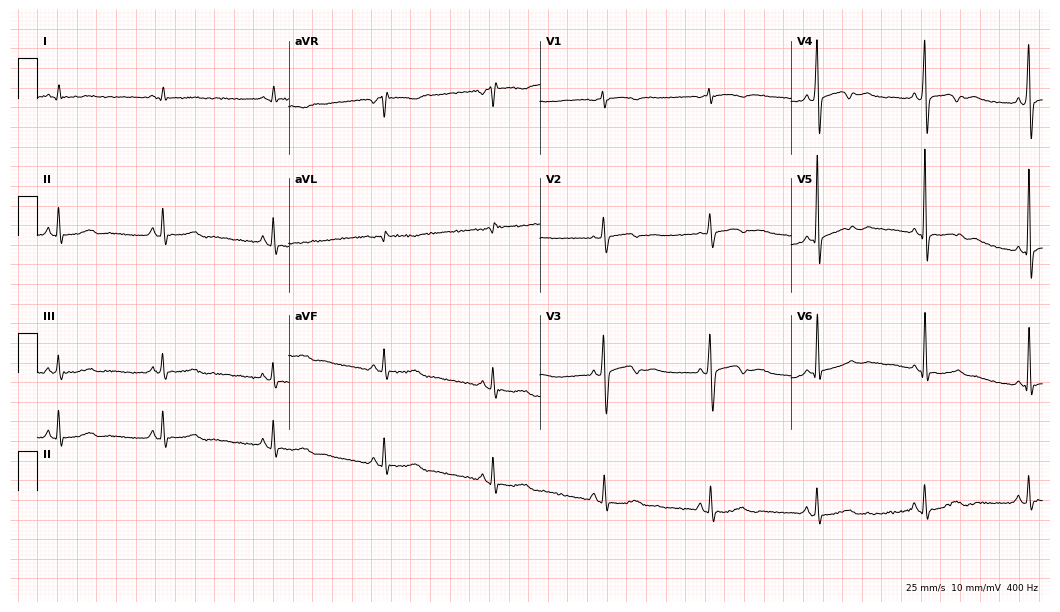
ECG (10.2-second recording at 400 Hz) — a man, 79 years old. Screened for six findings — first-degree AV block, right bundle branch block, left bundle branch block, sinus bradycardia, atrial fibrillation, sinus tachycardia — none is recorded.